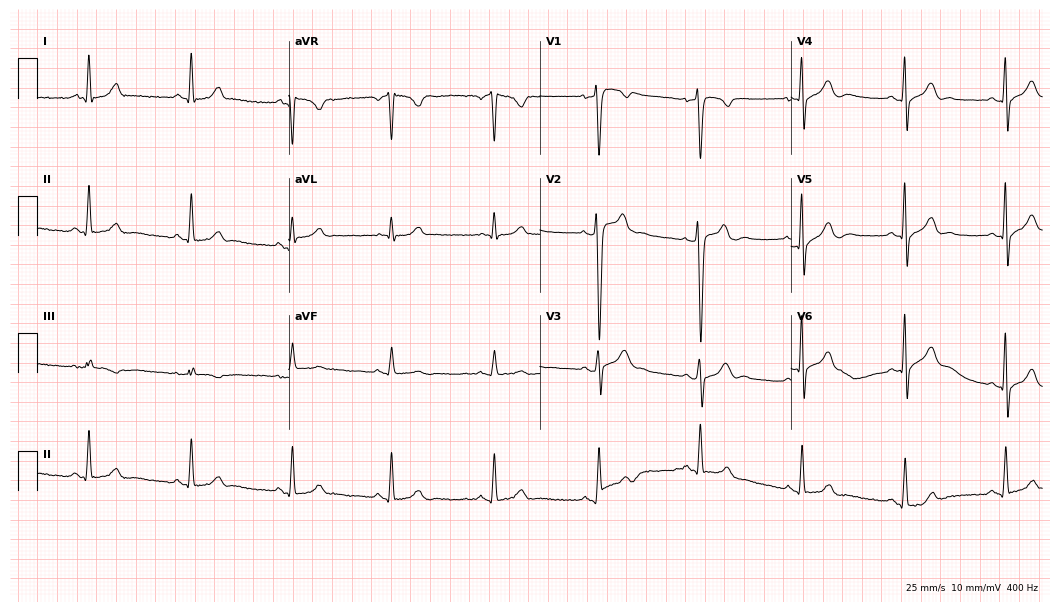
12-lead ECG from a man, 37 years old. Labelled as a normal ECG.